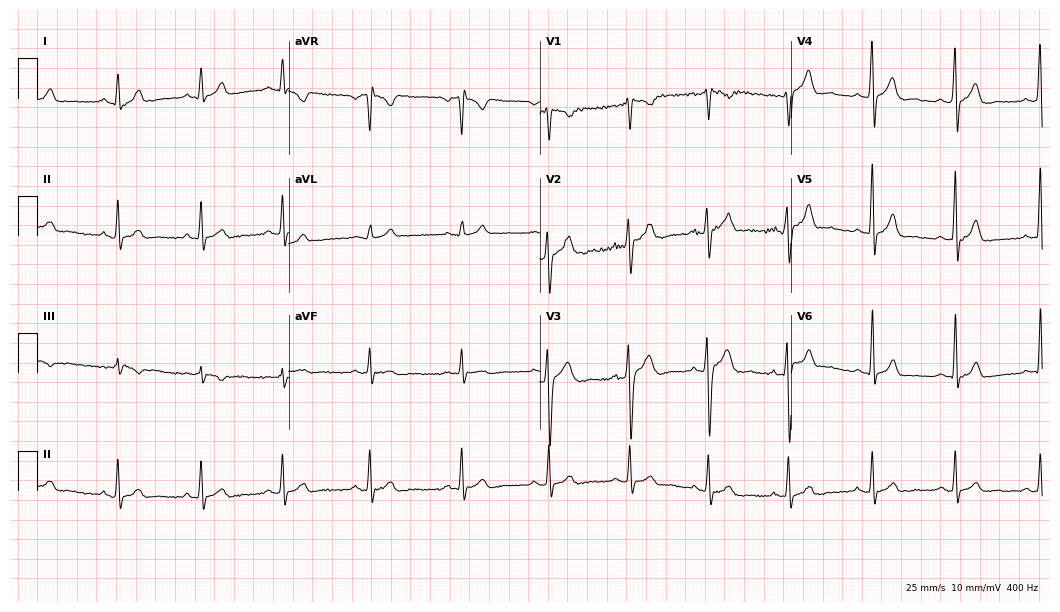
ECG (10.2-second recording at 400 Hz) — a 24-year-old male. Labelled as a normal ECG.